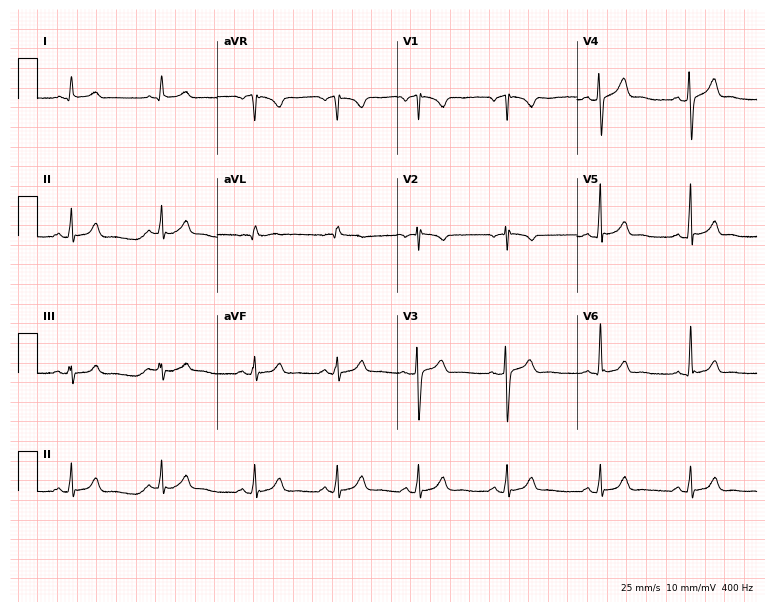
12-lead ECG from a male patient, 24 years old (7.3-second recording at 400 Hz). No first-degree AV block, right bundle branch block (RBBB), left bundle branch block (LBBB), sinus bradycardia, atrial fibrillation (AF) or sinus tachycardia recorded for this tracing. Only these six findings were labelled.